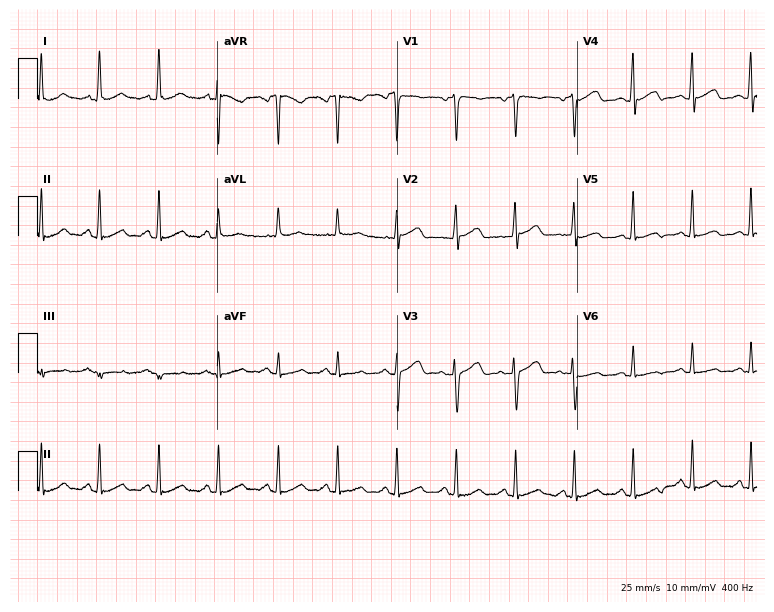
12-lead ECG from a 59-year-old female. Screened for six findings — first-degree AV block, right bundle branch block, left bundle branch block, sinus bradycardia, atrial fibrillation, sinus tachycardia — none is recorded. Other findings, if any, are not listed.